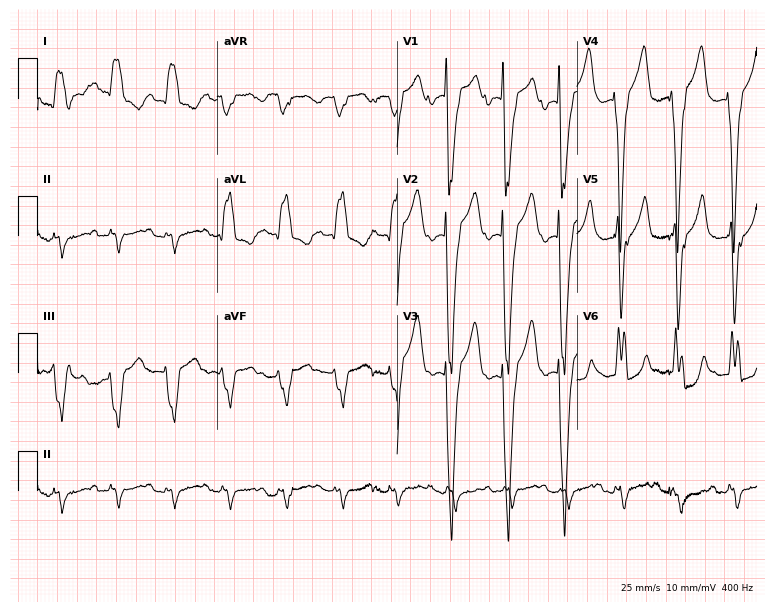
12-lead ECG (7.3-second recording at 400 Hz) from an 81-year-old female. Findings include left bundle branch block, sinus tachycardia (a sinus rate of 100 beats per minute or more).